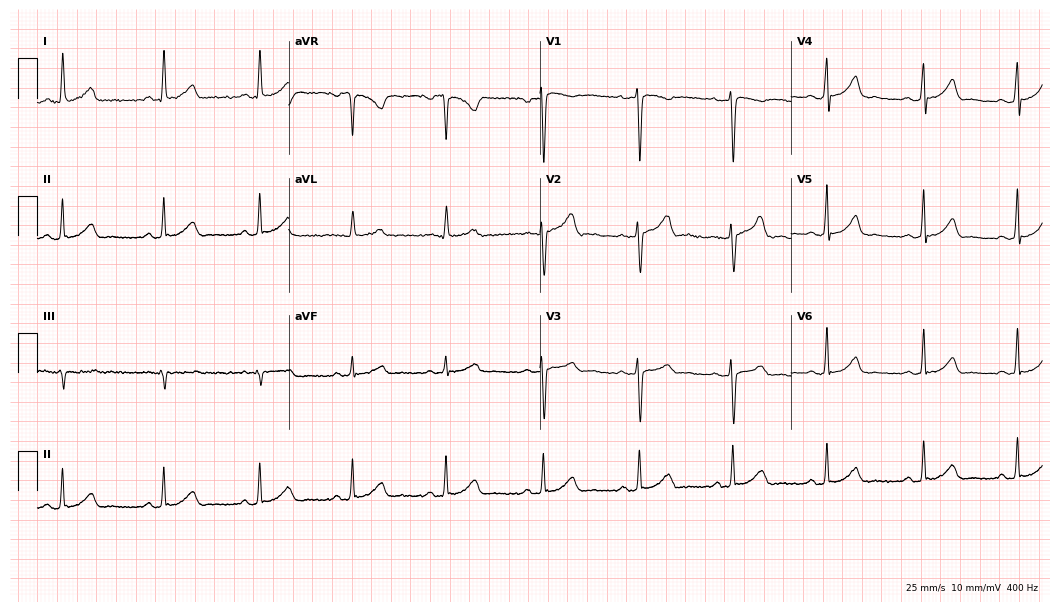
ECG (10.2-second recording at 400 Hz) — a female patient, 29 years old. Labelled as a normal ECG.